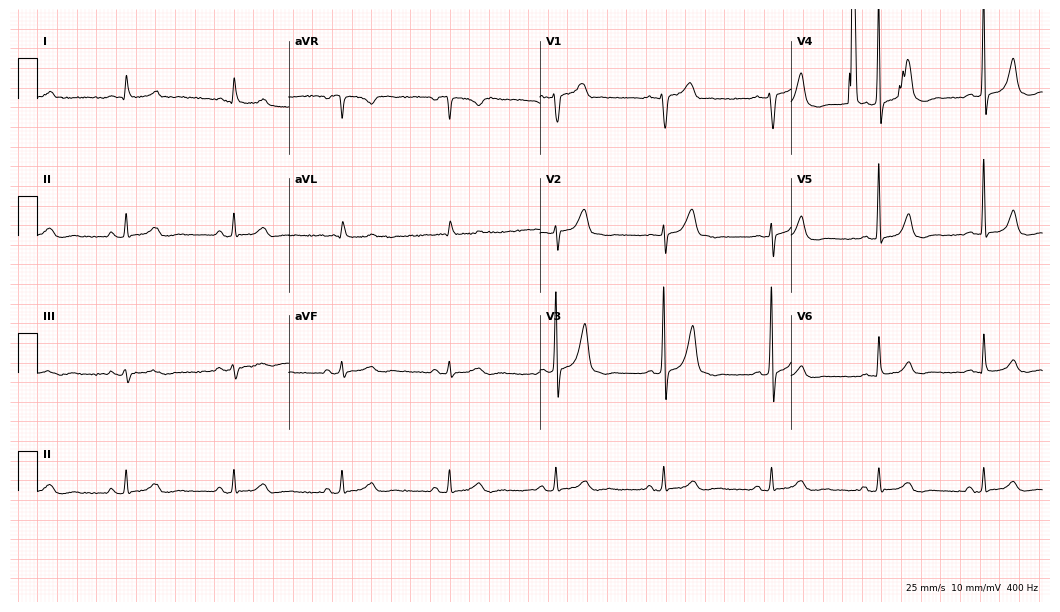
Resting 12-lead electrocardiogram (10.2-second recording at 400 Hz). Patient: a 72-year-old male. None of these six findings is recorded: first-degree AV block, right bundle branch block, left bundle branch block, sinus bradycardia, atrial fibrillation, sinus tachycardia. Findings outside these six are not listed.